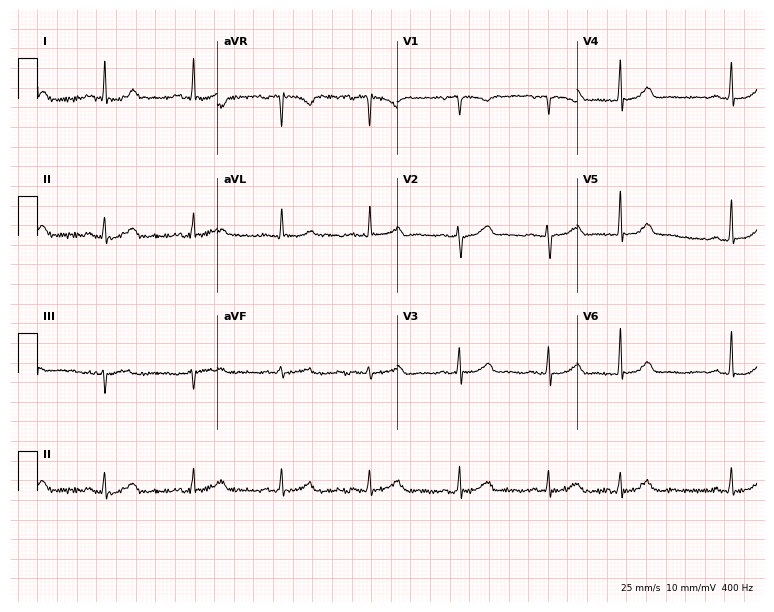
Electrocardiogram, a female patient, 53 years old. Overall reading on record: normal ECG.